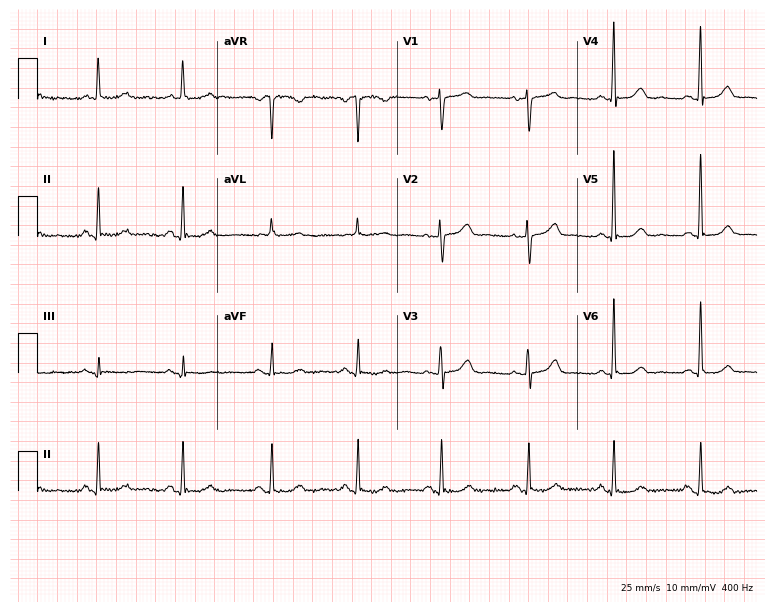
Electrocardiogram, a 76-year-old female. Overall reading on record: normal ECG.